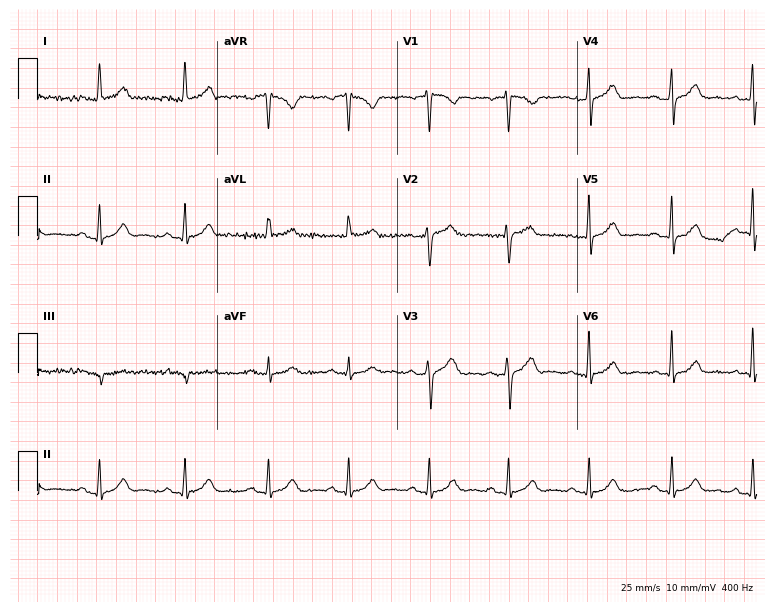
Electrocardiogram, a 43-year-old female. Overall reading on record: normal ECG.